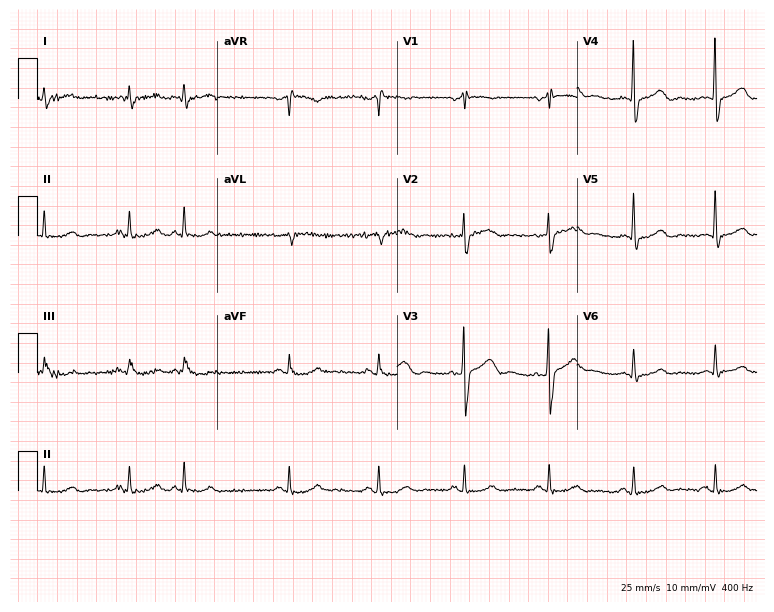
Resting 12-lead electrocardiogram. Patient: a 78-year-old male. Read as a normal ECG.